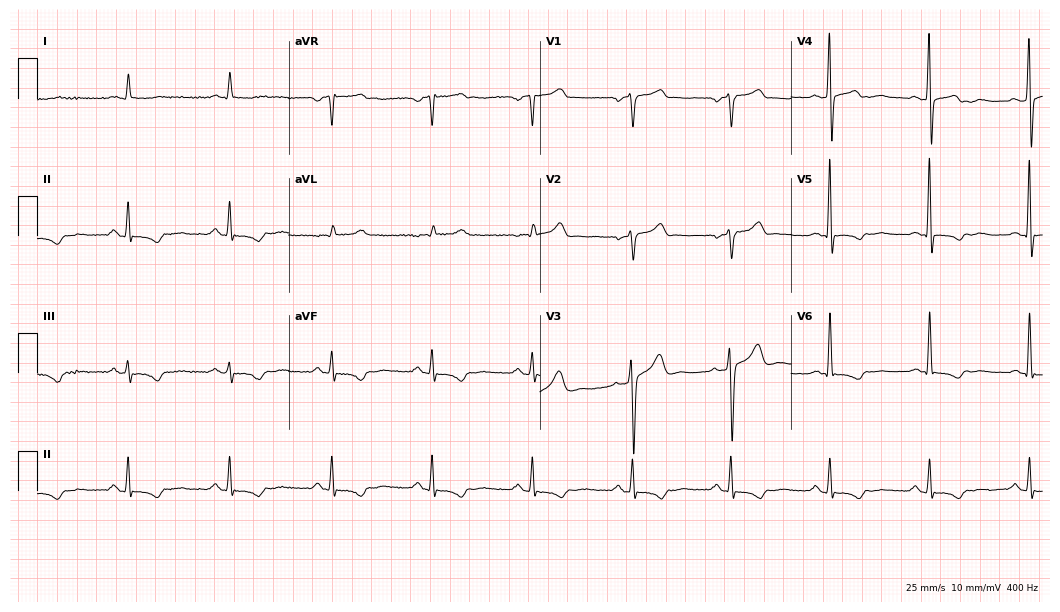
Electrocardiogram (10.2-second recording at 400 Hz), a man, 49 years old. Of the six screened findings (first-degree AV block, right bundle branch block (RBBB), left bundle branch block (LBBB), sinus bradycardia, atrial fibrillation (AF), sinus tachycardia), none is recorded. Only these six findings were labelled.